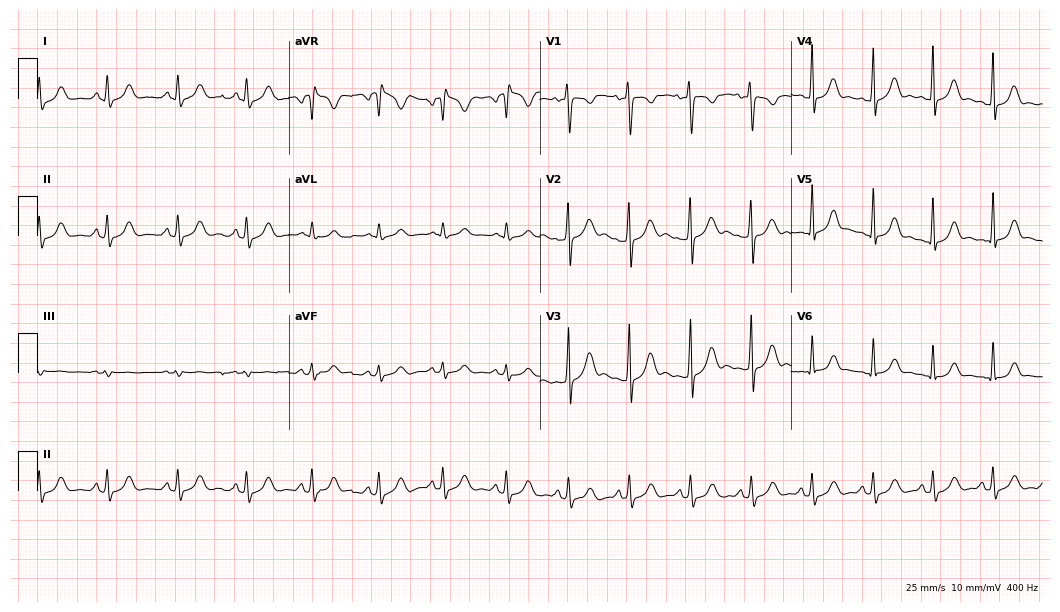
Standard 12-lead ECG recorded from a woman, 25 years old. Read as a normal ECG.